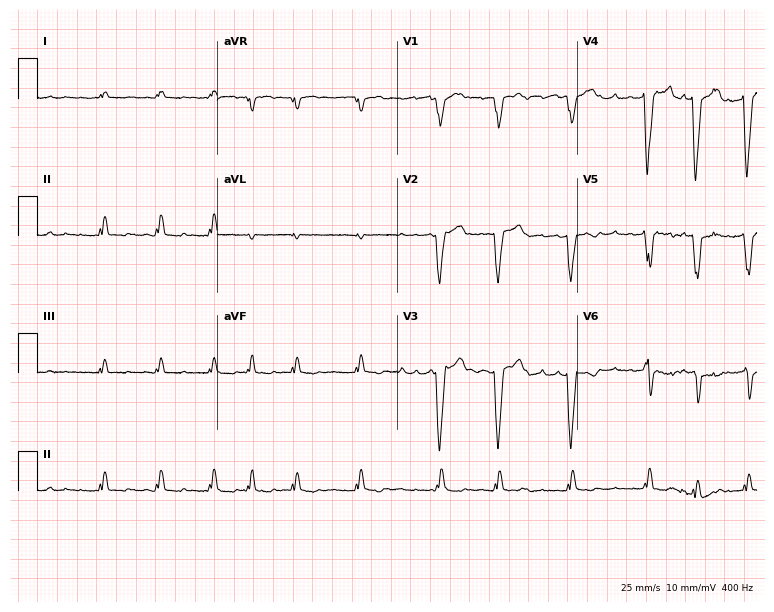
12-lead ECG from a 68-year-old female patient (7.3-second recording at 400 Hz). Shows atrial fibrillation (AF).